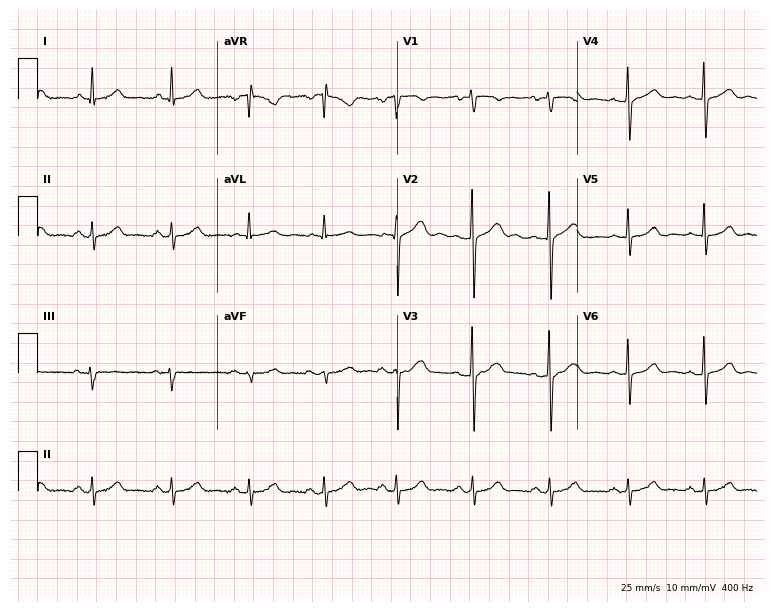
12-lead ECG (7.3-second recording at 400 Hz) from a 48-year-old female. Screened for six findings — first-degree AV block, right bundle branch block (RBBB), left bundle branch block (LBBB), sinus bradycardia, atrial fibrillation (AF), sinus tachycardia — none is recorded. Only these six findings were labelled.